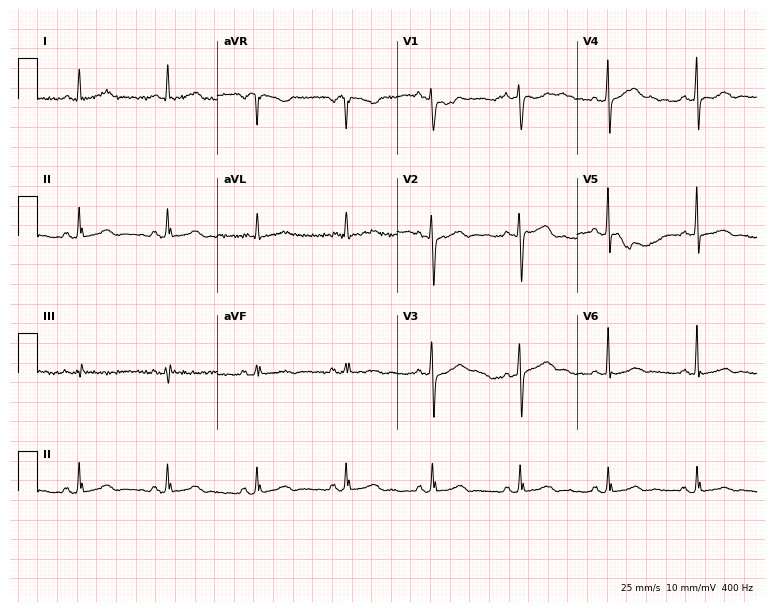
Standard 12-lead ECG recorded from a 32-year-old female (7.3-second recording at 400 Hz). Read as a normal ECG.